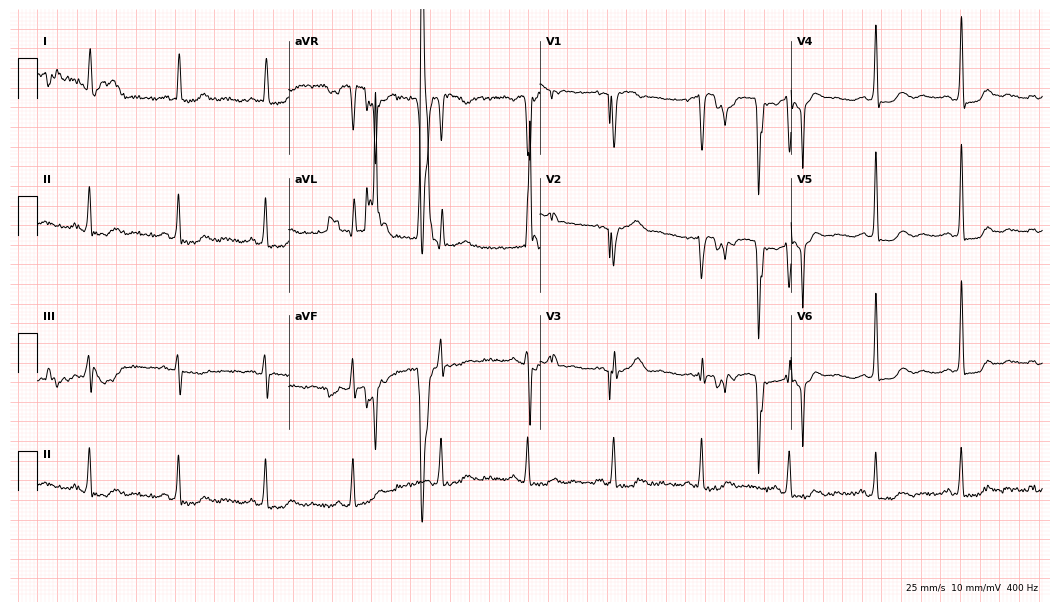
Standard 12-lead ECG recorded from a female, 69 years old. None of these six findings is recorded: first-degree AV block, right bundle branch block, left bundle branch block, sinus bradycardia, atrial fibrillation, sinus tachycardia.